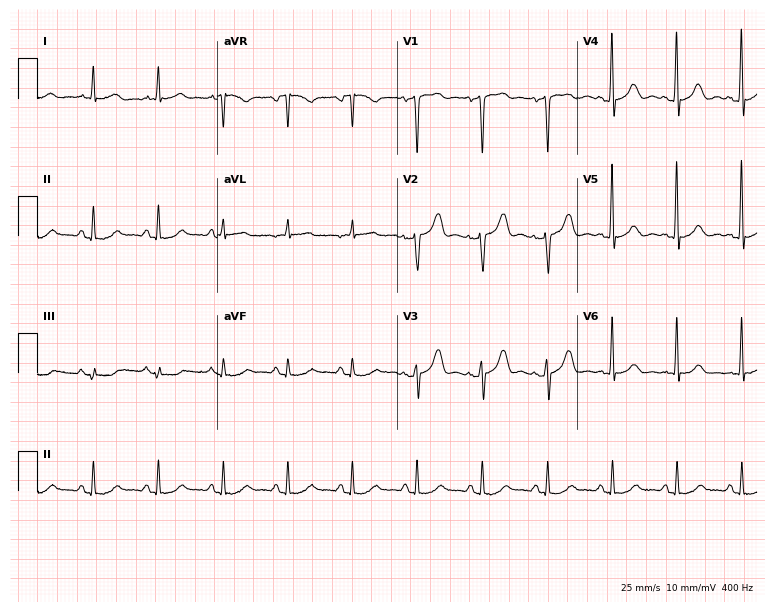
ECG — a 76-year-old male patient. Screened for six findings — first-degree AV block, right bundle branch block, left bundle branch block, sinus bradycardia, atrial fibrillation, sinus tachycardia — none is recorded. Other findings, if any, are not listed.